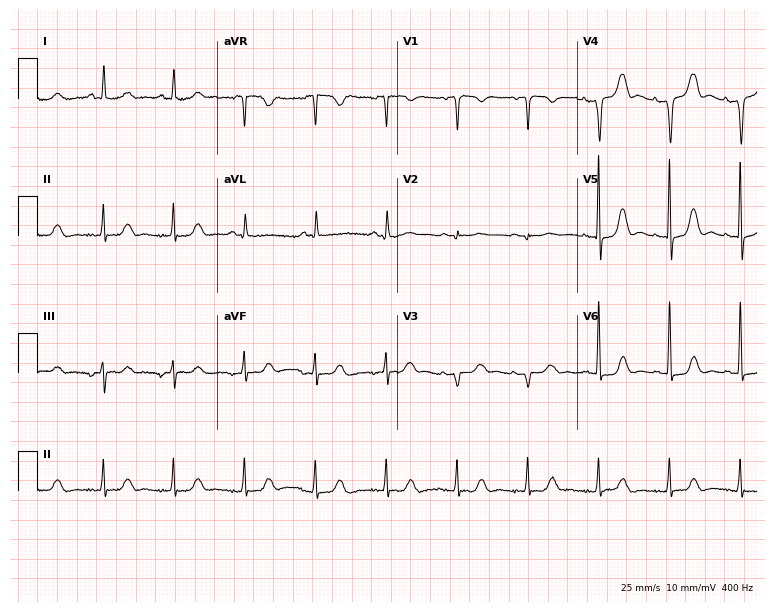
Standard 12-lead ECG recorded from a female, 76 years old. Read as a normal ECG.